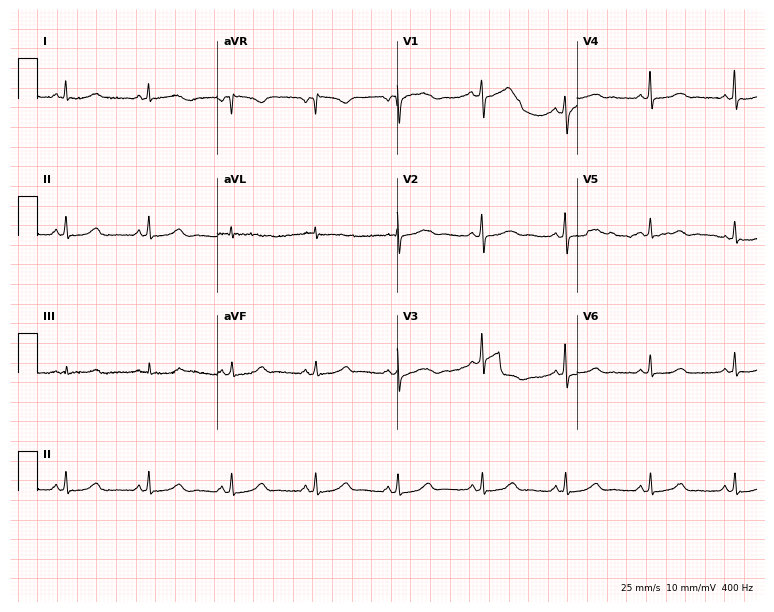
Standard 12-lead ECG recorded from a 61-year-old female patient (7.3-second recording at 400 Hz). Read as a normal ECG.